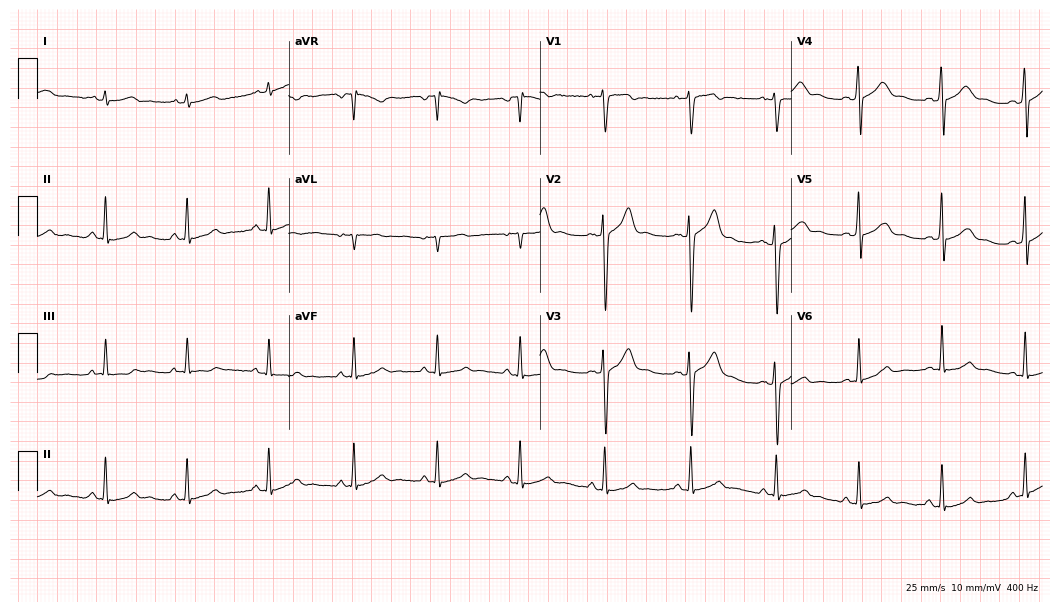
12-lead ECG (10.2-second recording at 400 Hz) from a male patient, 38 years old. Labelled as a normal ECG.